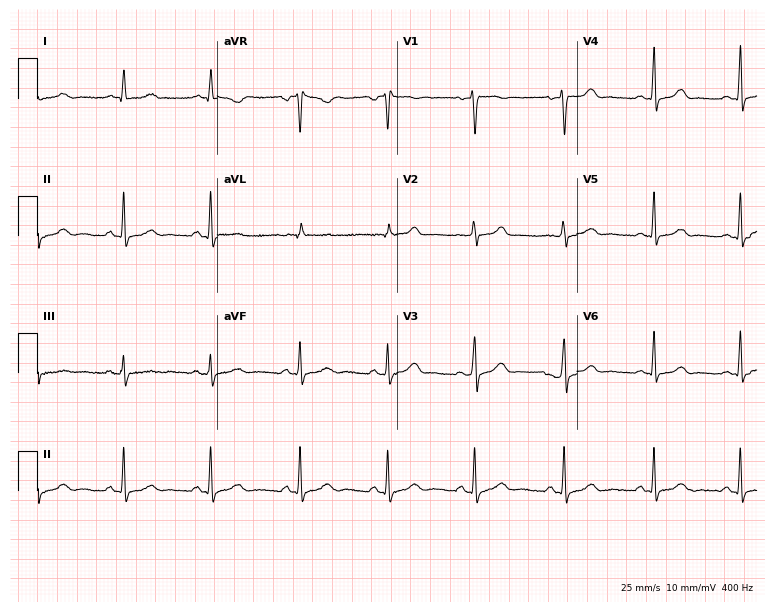
Electrocardiogram, a 38-year-old female patient. Overall reading on record: normal ECG.